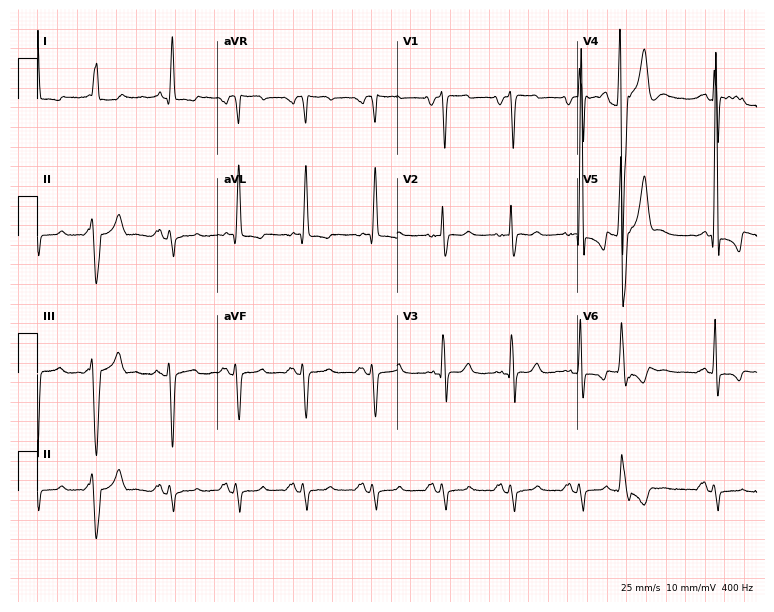
Standard 12-lead ECG recorded from a male patient, 73 years old. None of these six findings is recorded: first-degree AV block, right bundle branch block, left bundle branch block, sinus bradycardia, atrial fibrillation, sinus tachycardia. Only these six findings were labelled.